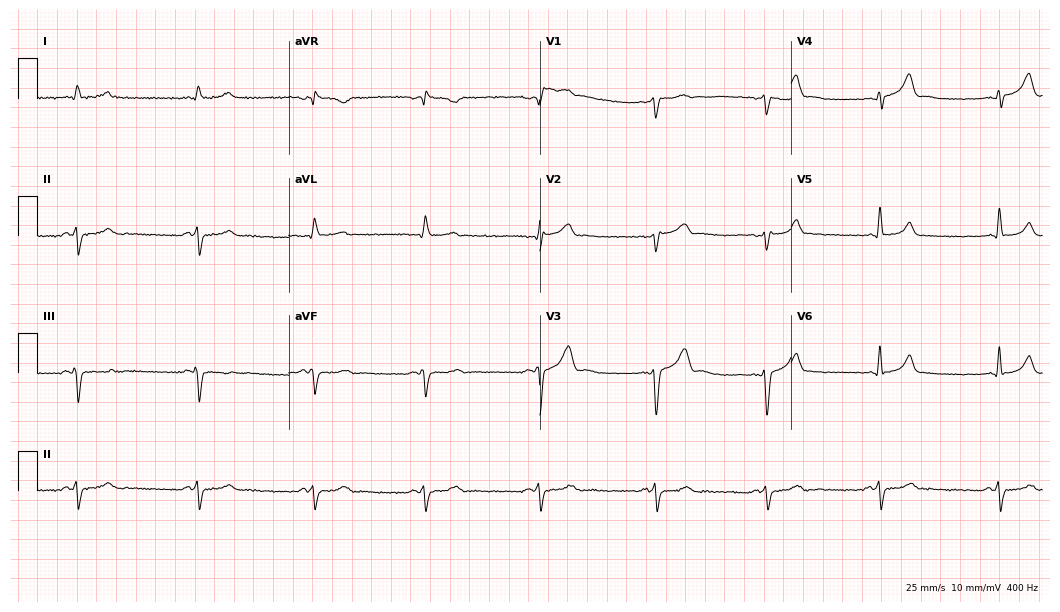
Standard 12-lead ECG recorded from a 56-year-old male patient. None of these six findings is recorded: first-degree AV block, right bundle branch block, left bundle branch block, sinus bradycardia, atrial fibrillation, sinus tachycardia. Findings outside these six are not listed.